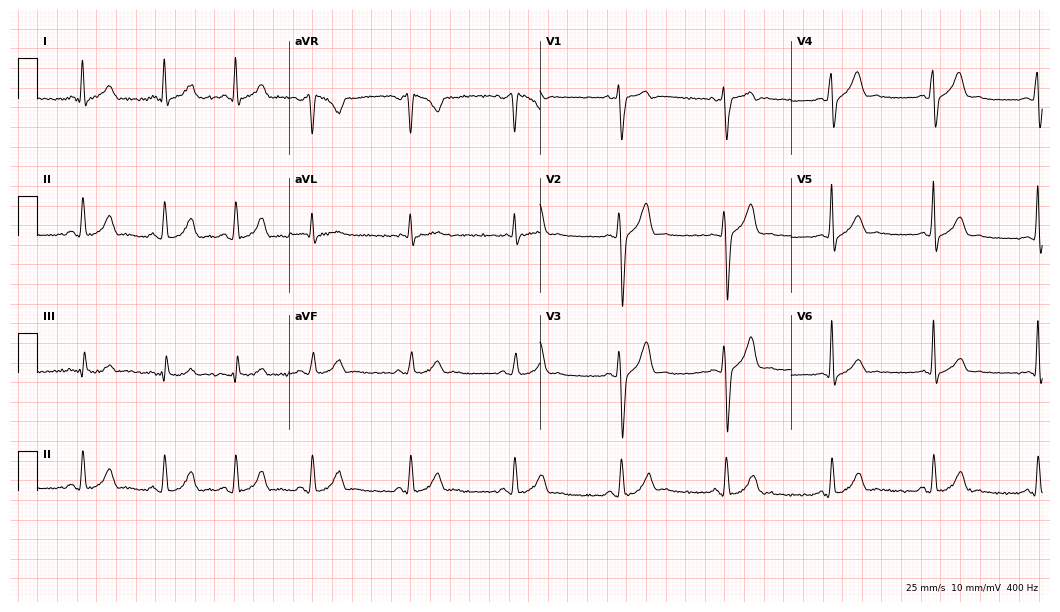
Standard 12-lead ECG recorded from a 43-year-old male patient (10.2-second recording at 400 Hz). None of these six findings is recorded: first-degree AV block, right bundle branch block (RBBB), left bundle branch block (LBBB), sinus bradycardia, atrial fibrillation (AF), sinus tachycardia.